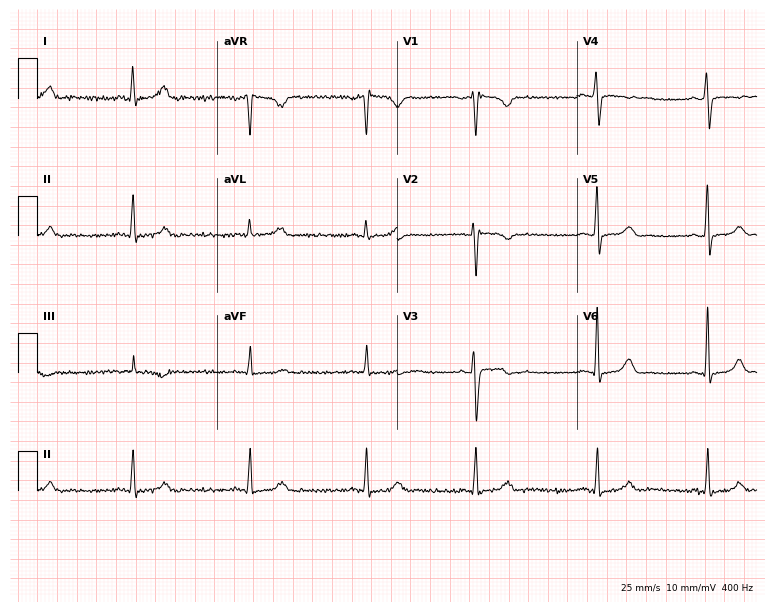
Electrocardiogram (7.3-second recording at 400 Hz), a female, 33 years old. Of the six screened findings (first-degree AV block, right bundle branch block, left bundle branch block, sinus bradycardia, atrial fibrillation, sinus tachycardia), none is recorded. Only these six findings were labelled.